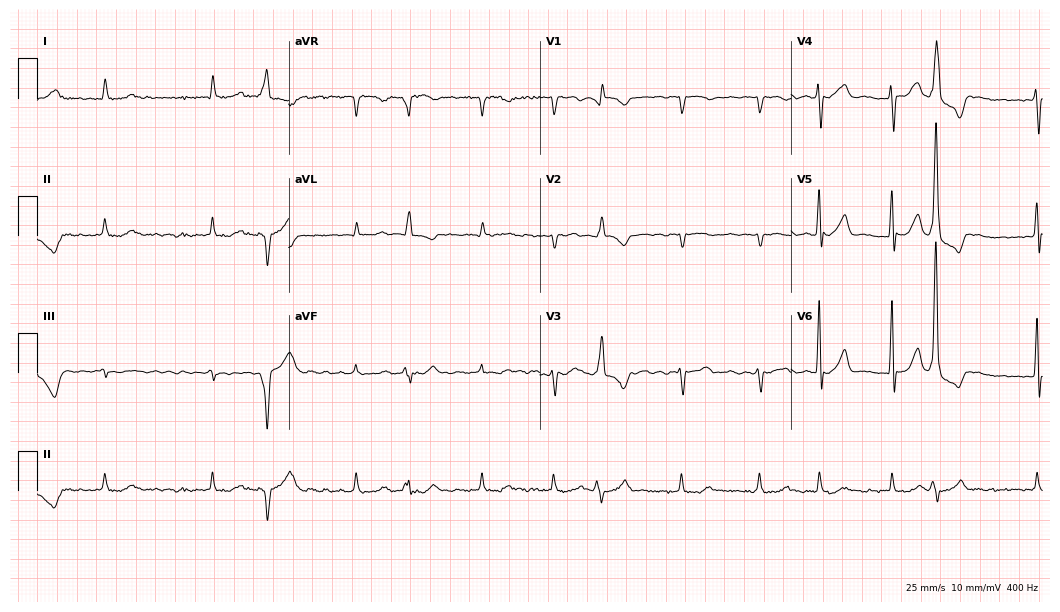
Resting 12-lead electrocardiogram. Patient: a male, 82 years old. The tracing shows atrial fibrillation.